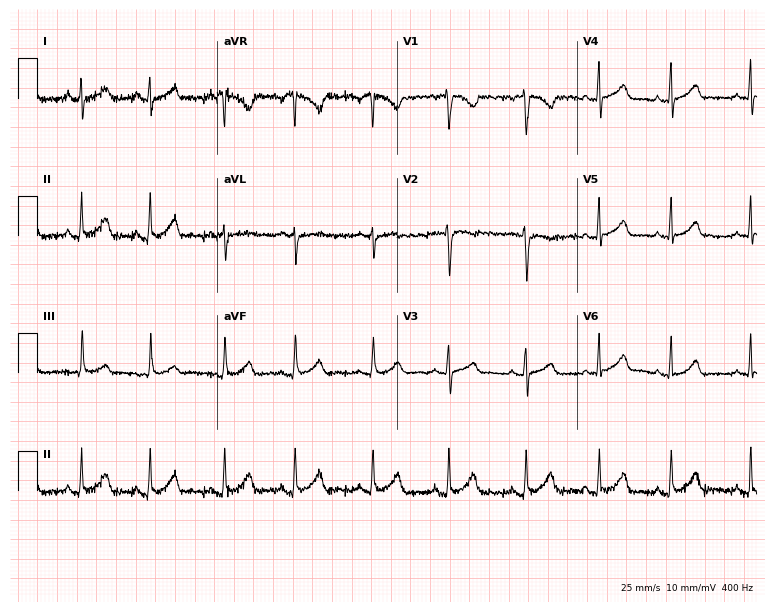
ECG — a female patient, 31 years old. Labelled as a normal ECG.